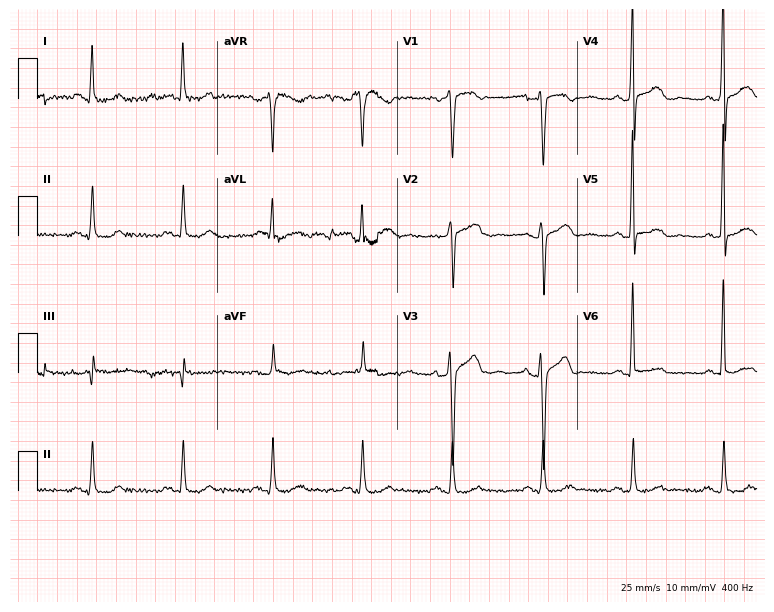
Resting 12-lead electrocardiogram (7.3-second recording at 400 Hz). Patient: a man, 64 years old. None of these six findings is recorded: first-degree AV block, right bundle branch block, left bundle branch block, sinus bradycardia, atrial fibrillation, sinus tachycardia.